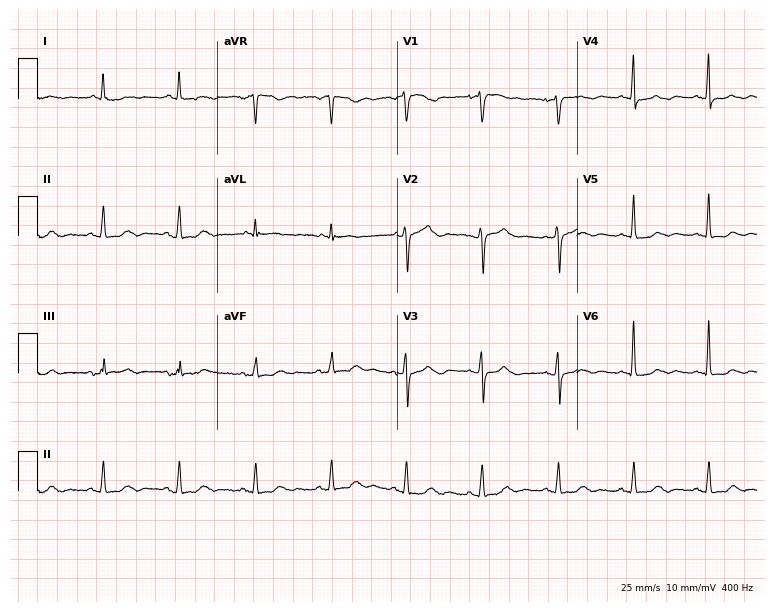
12-lead ECG from a 60-year-old female patient. Screened for six findings — first-degree AV block, right bundle branch block, left bundle branch block, sinus bradycardia, atrial fibrillation, sinus tachycardia — none is recorded. Only these six findings were labelled.